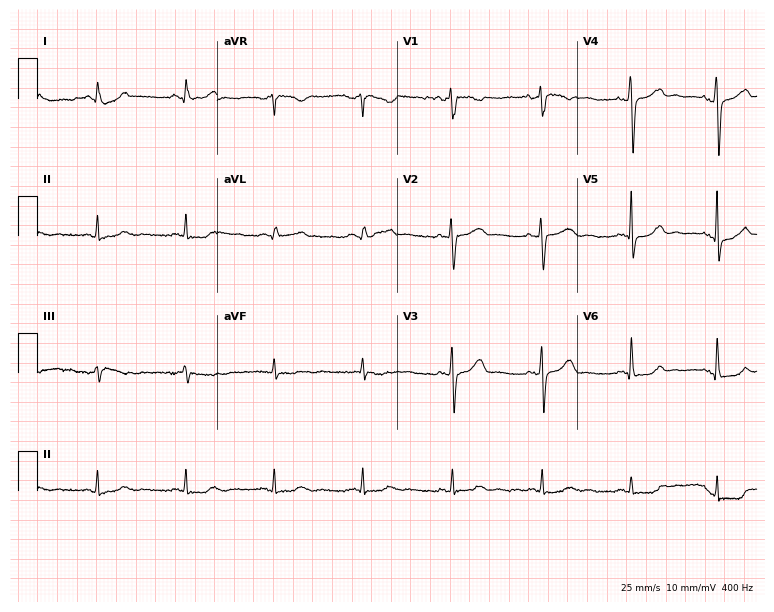
12-lead ECG from a female, 49 years old. Labelled as a normal ECG.